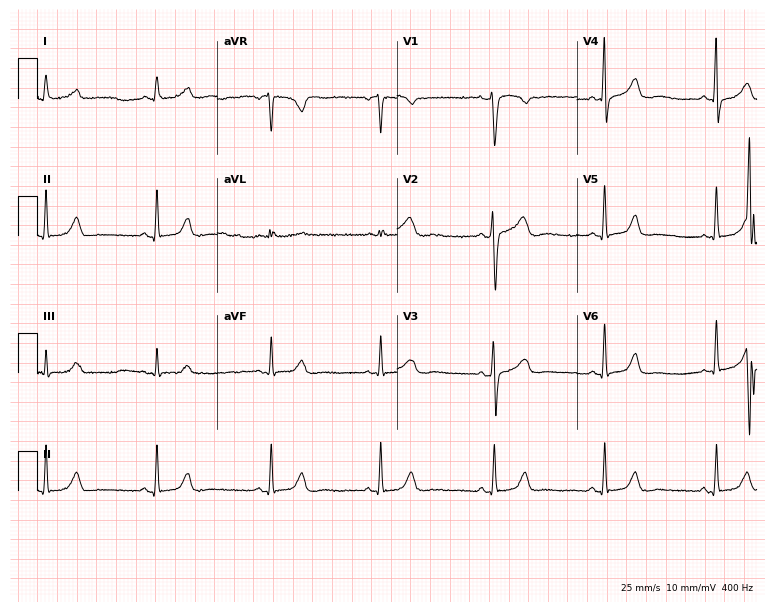
Resting 12-lead electrocardiogram. Patient: a woman, 37 years old. Read as a normal ECG.